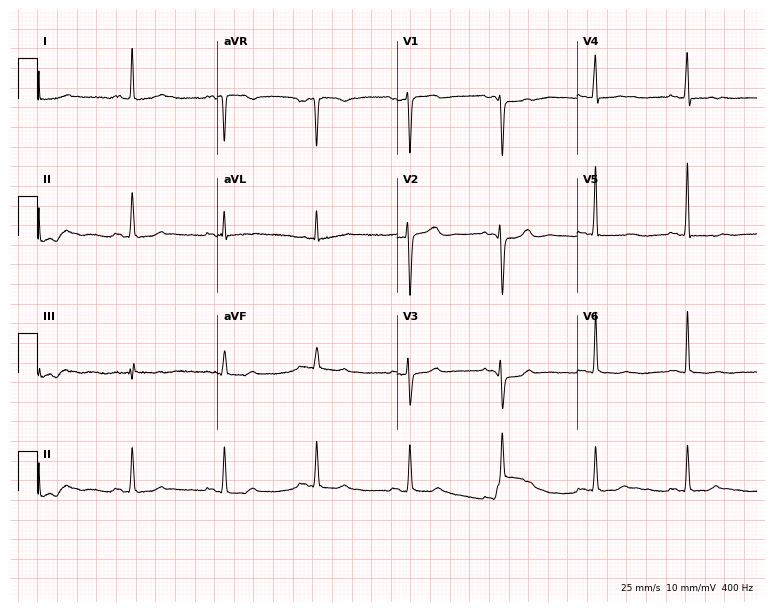
Resting 12-lead electrocardiogram. Patient: a woman, 65 years old. None of these six findings is recorded: first-degree AV block, right bundle branch block, left bundle branch block, sinus bradycardia, atrial fibrillation, sinus tachycardia. Only these six findings were labelled.